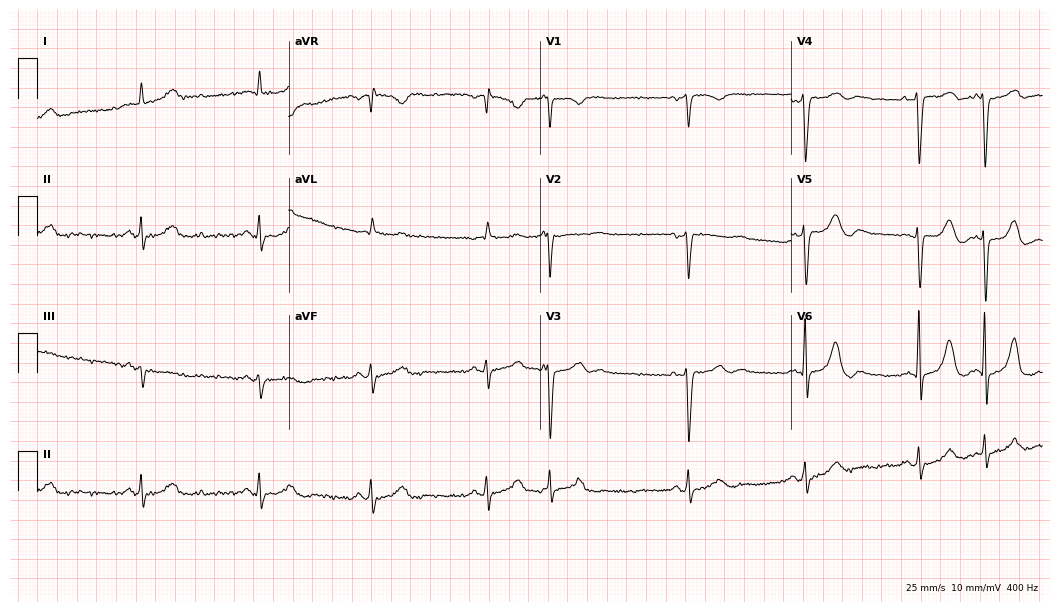
12-lead ECG from a 78-year-old male patient. Screened for six findings — first-degree AV block, right bundle branch block, left bundle branch block, sinus bradycardia, atrial fibrillation, sinus tachycardia — none is recorded.